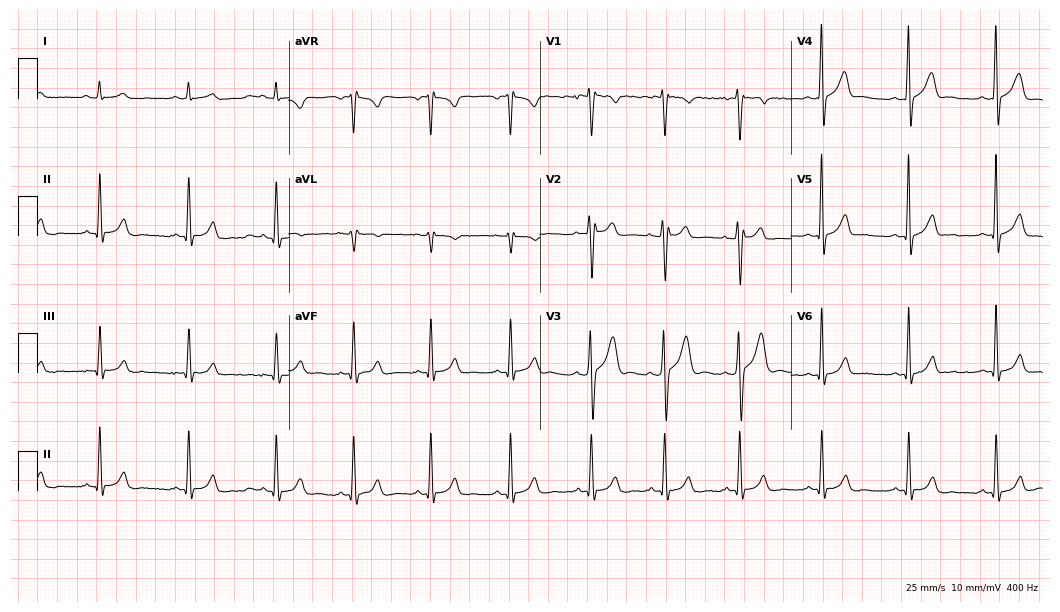
12-lead ECG from a 20-year-old man (10.2-second recording at 400 Hz). Recorded interpretation: within normal limits.